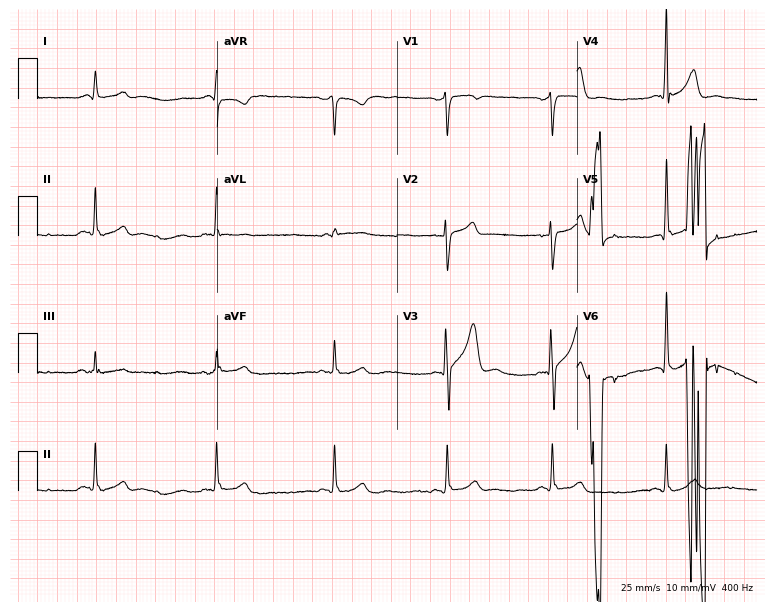
Resting 12-lead electrocardiogram (7.3-second recording at 400 Hz). Patient: a male, 39 years old. None of these six findings is recorded: first-degree AV block, right bundle branch block (RBBB), left bundle branch block (LBBB), sinus bradycardia, atrial fibrillation (AF), sinus tachycardia.